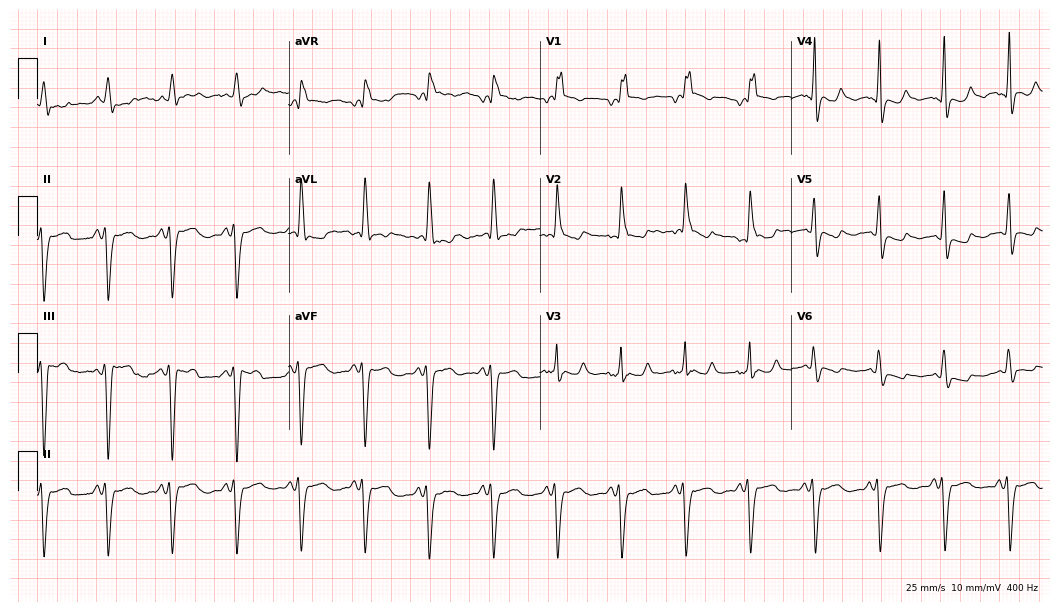
Electrocardiogram, a male patient, 65 years old. Interpretation includes right bundle branch block.